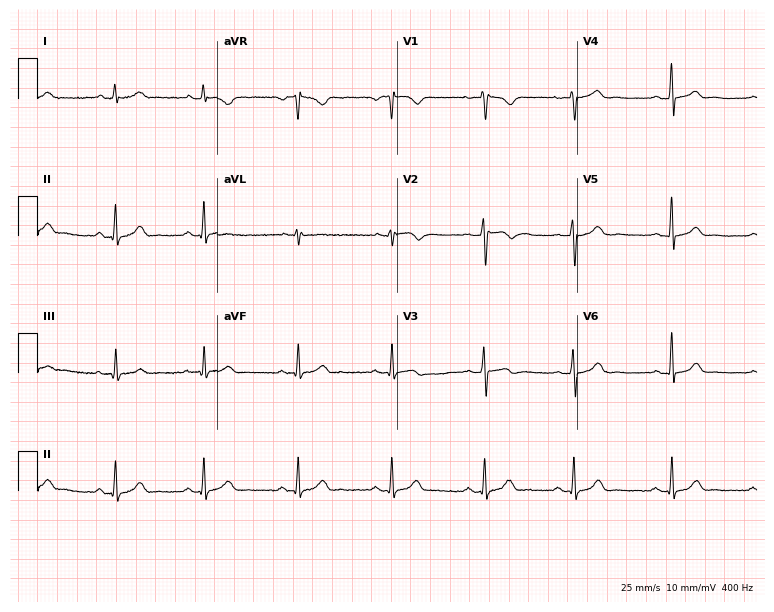
Standard 12-lead ECG recorded from a female, 33 years old (7.3-second recording at 400 Hz). Read as a normal ECG.